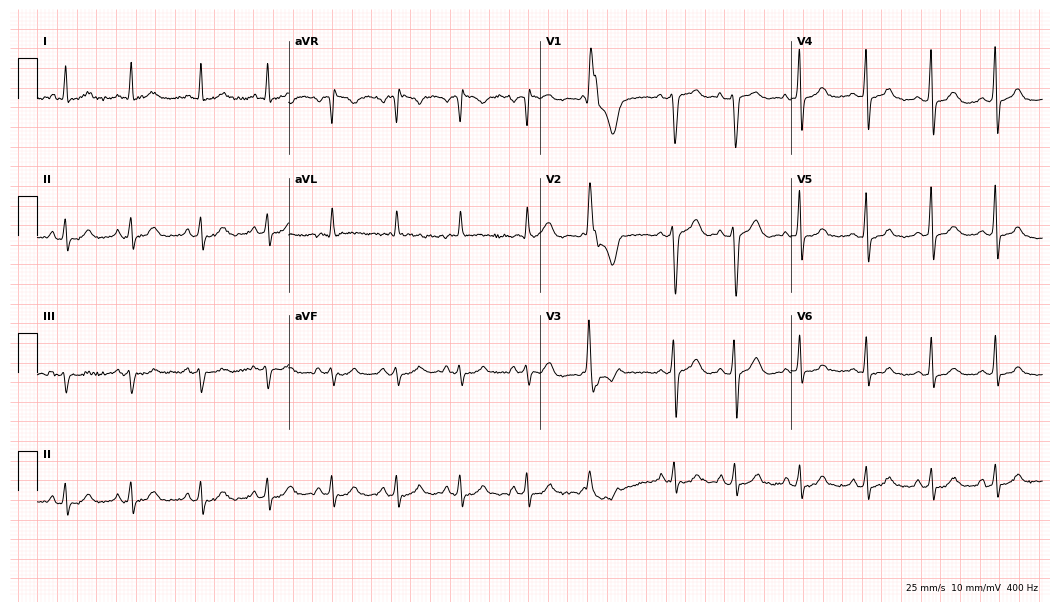
Electrocardiogram (10.2-second recording at 400 Hz), a female patient, 43 years old. Of the six screened findings (first-degree AV block, right bundle branch block (RBBB), left bundle branch block (LBBB), sinus bradycardia, atrial fibrillation (AF), sinus tachycardia), none is recorded. Findings outside these six are not listed.